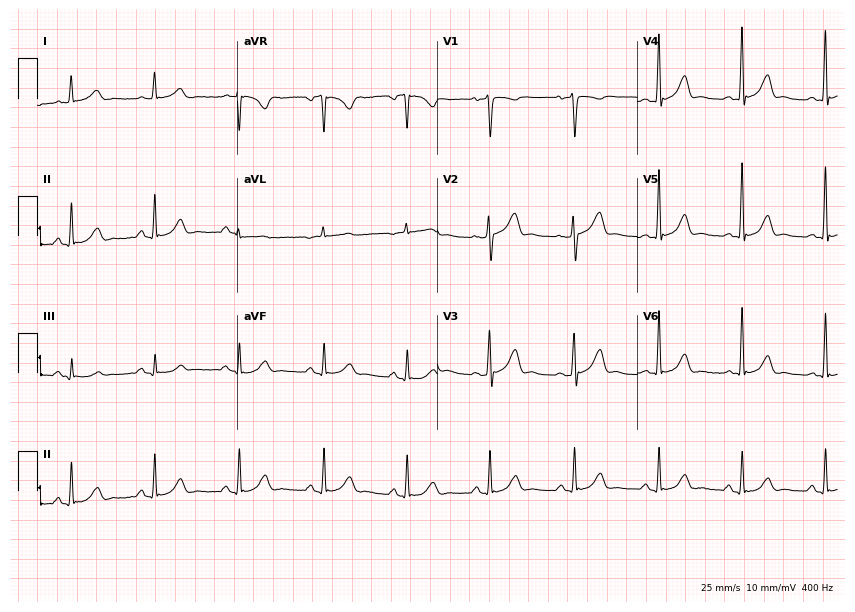
Electrocardiogram (8.2-second recording at 400 Hz), a 68-year-old male. Of the six screened findings (first-degree AV block, right bundle branch block, left bundle branch block, sinus bradycardia, atrial fibrillation, sinus tachycardia), none is recorded. Only these six findings were labelled.